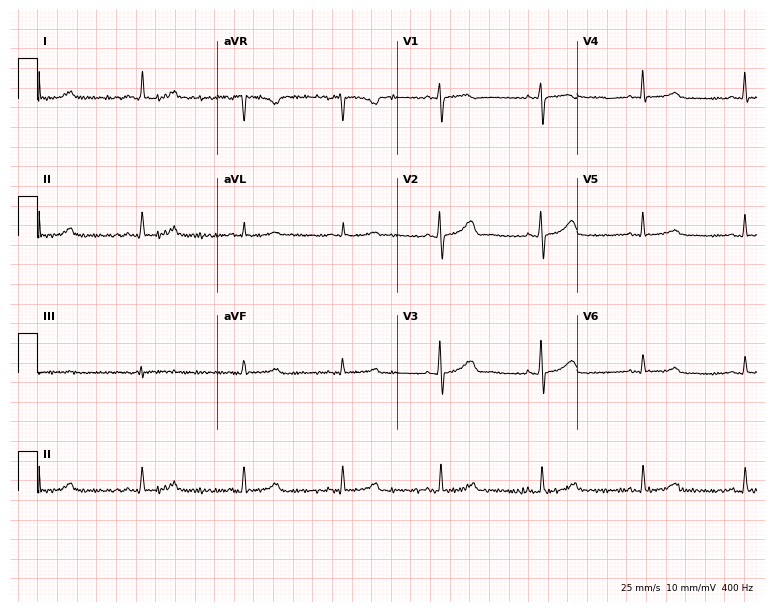
Electrocardiogram (7.3-second recording at 400 Hz), a female, 66 years old. Overall reading on record: normal ECG.